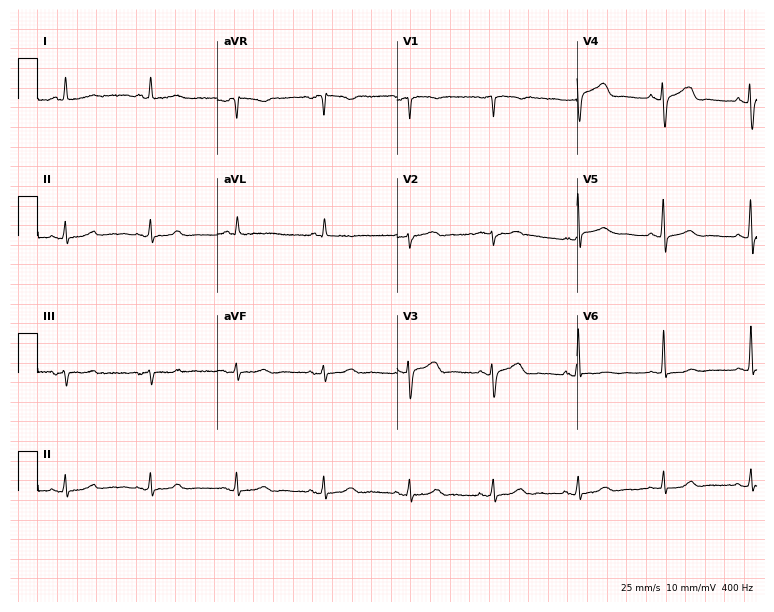
Electrocardiogram (7.3-second recording at 400 Hz), a woman, 45 years old. Of the six screened findings (first-degree AV block, right bundle branch block (RBBB), left bundle branch block (LBBB), sinus bradycardia, atrial fibrillation (AF), sinus tachycardia), none is recorded.